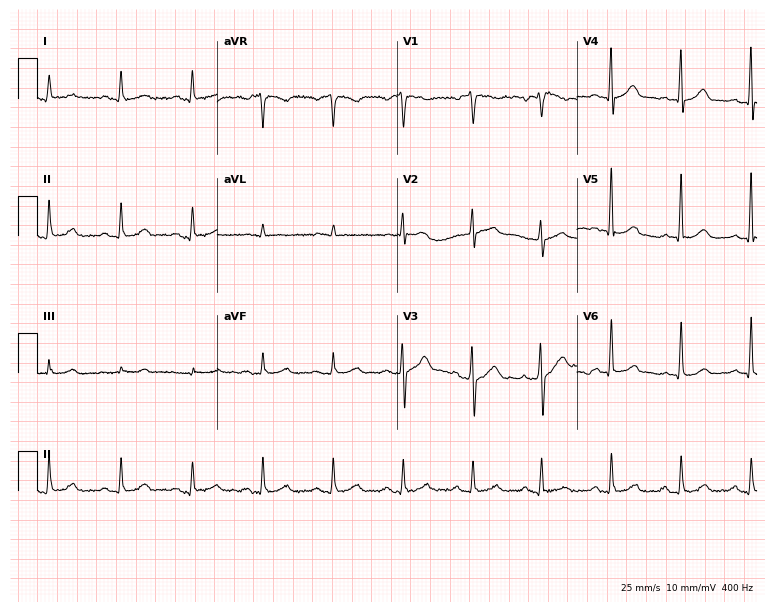
Electrocardiogram, a male, 62 years old. Overall reading on record: normal ECG.